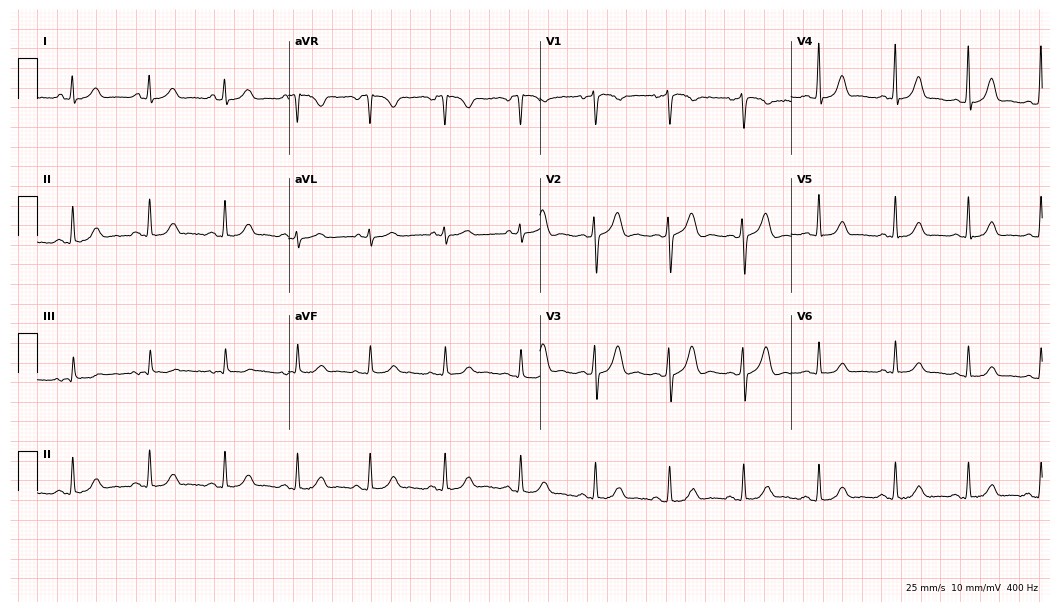
Resting 12-lead electrocardiogram (10.2-second recording at 400 Hz). Patient: a female, 33 years old. None of these six findings is recorded: first-degree AV block, right bundle branch block, left bundle branch block, sinus bradycardia, atrial fibrillation, sinus tachycardia. Findings outside these six are not listed.